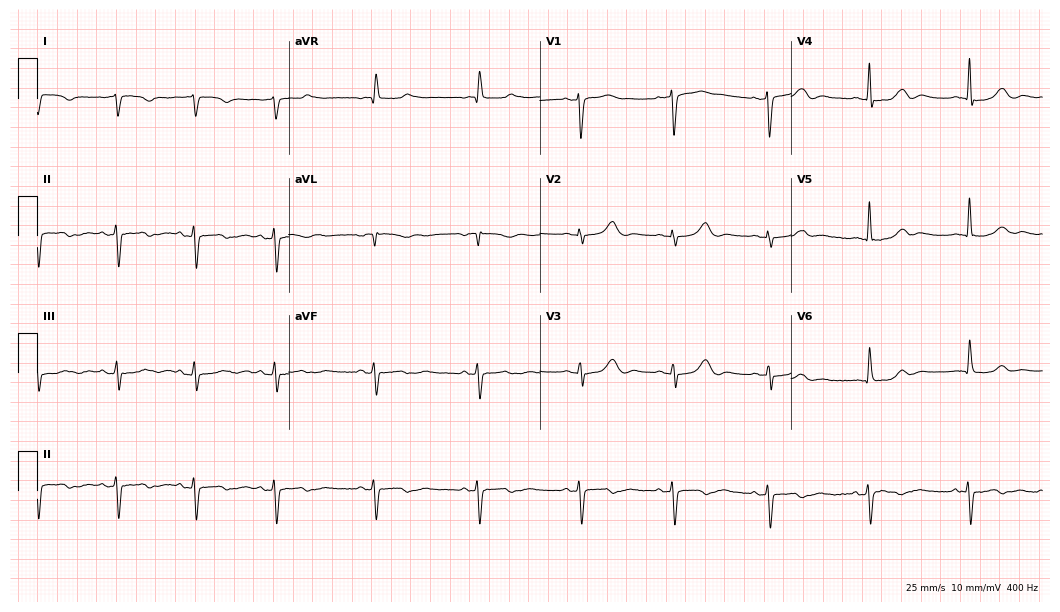
12-lead ECG from an 83-year-old woman (10.2-second recording at 400 Hz). No first-degree AV block, right bundle branch block, left bundle branch block, sinus bradycardia, atrial fibrillation or sinus tachycardia recorded for this tracing. Findings outside these six are not listed.